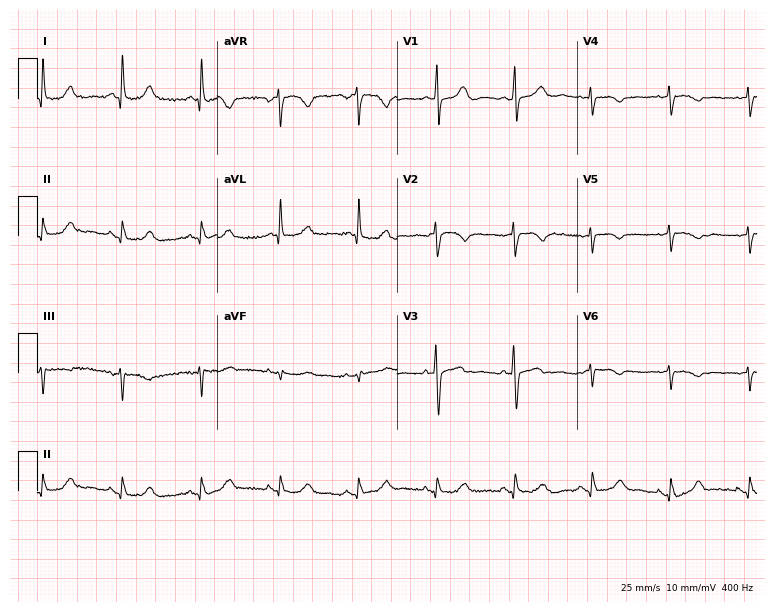
12-lead ECG (7.3-second recording at 400 Hz) from a 73-year-old female. Screened for six findings — first-degree AV block, right bundle branch block, left bundle branch block, sinus bradycardia, atrial fibrillation, sinus tachycardia — none is recorded. Other findings, if any, are not listed.